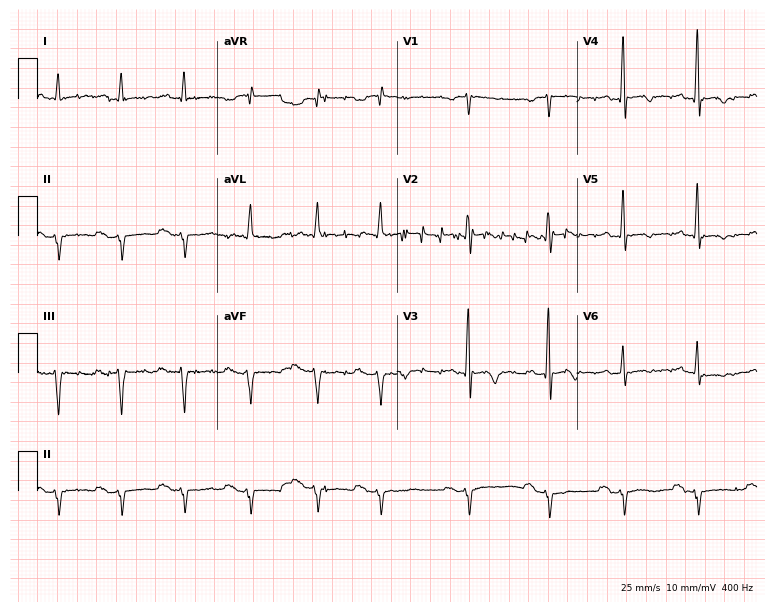
Resting 12-lead electrocardiogram. Patient: a female, 82 years old. The tracing shows first-degree AV block.